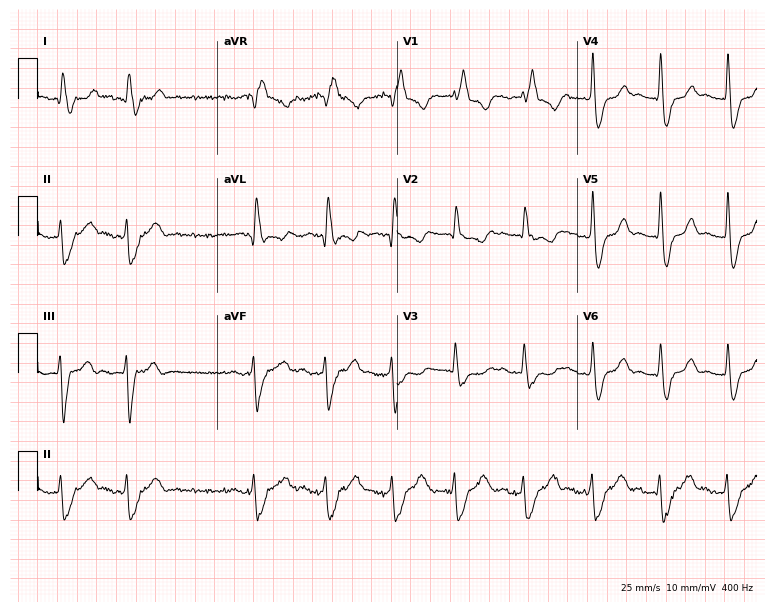
ECG (7.3-second recording at 400 Hz) — a female patient, 84 years old. Findings include first-degree AV block, right bundle branch block.